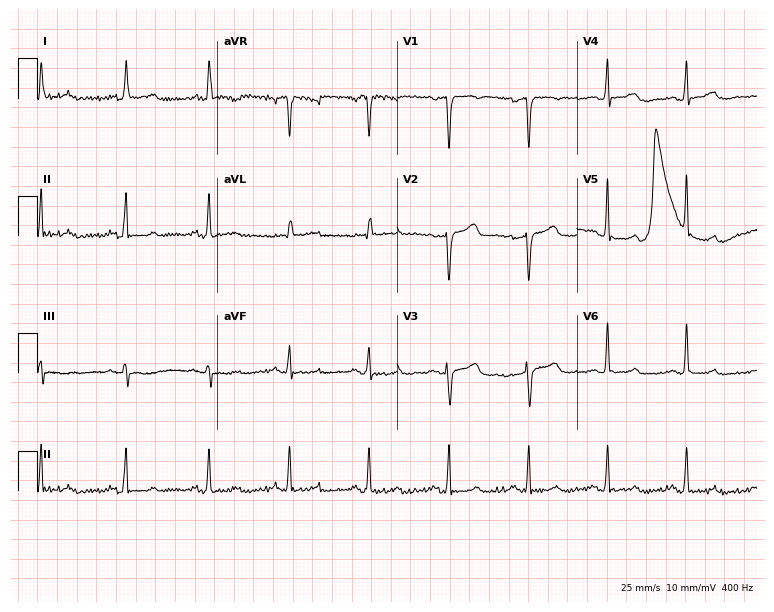
Resting 12-lead electrocardiogram. Patient: a 60-year-old female. None of these six findings is recorded: first-degree AV block, right bundle branch block (RBBB), left bundle branch block (LBBB), sinus bradycardia, atrial fibrillation (AF), sinus tachycardia.